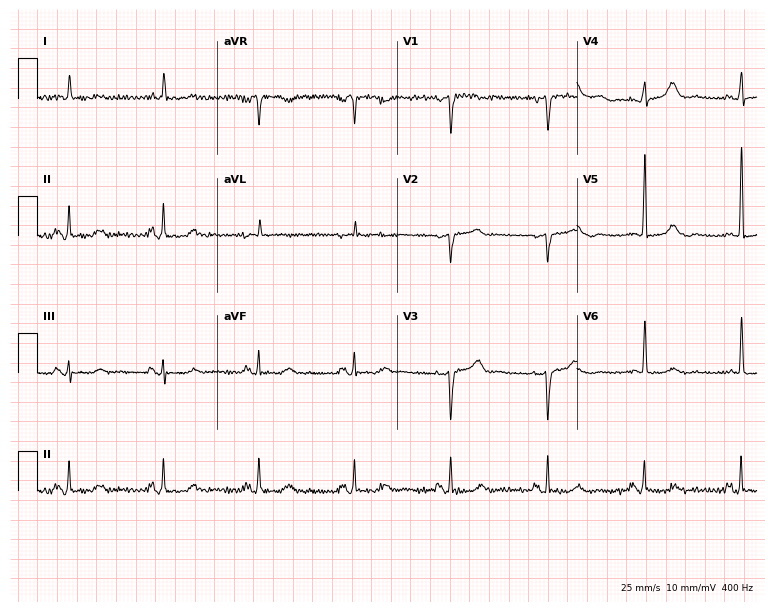
ECG (7.3-second recording at 400 Hz) — an 84-year-old female. Screened for six findings — first-degree AV block, right bundle branch block, left bundle branch block, sinus bradycardia, atrial fibrillation, sinus tachycardia — none is recorded.